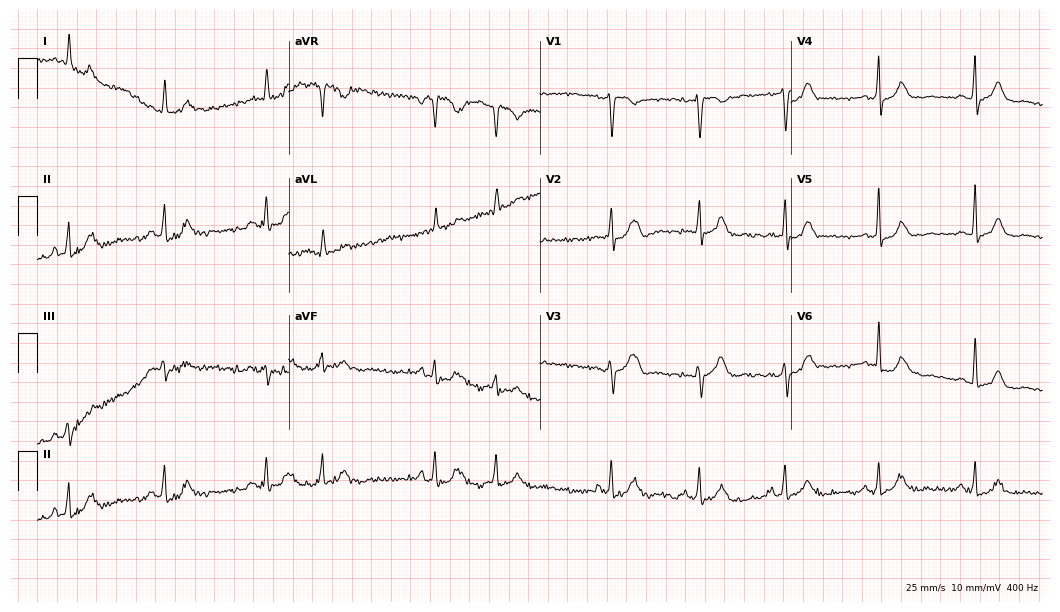
ECG — a woman, 60 years old. Screened for six findings — first-degree AV block, right bundle branch block, left bundle branch block, sinus bradycardia, atrial fibrillation, sinus tachycardia — none is recorded. Other findings, if any, are not listed.